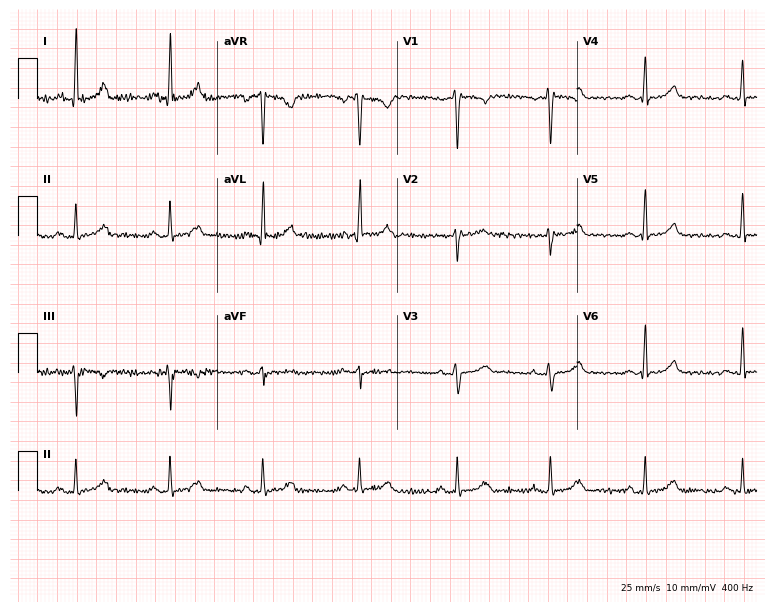
12-lead ECG from a 56-year-old female patient. Labelled as a normal ECG.